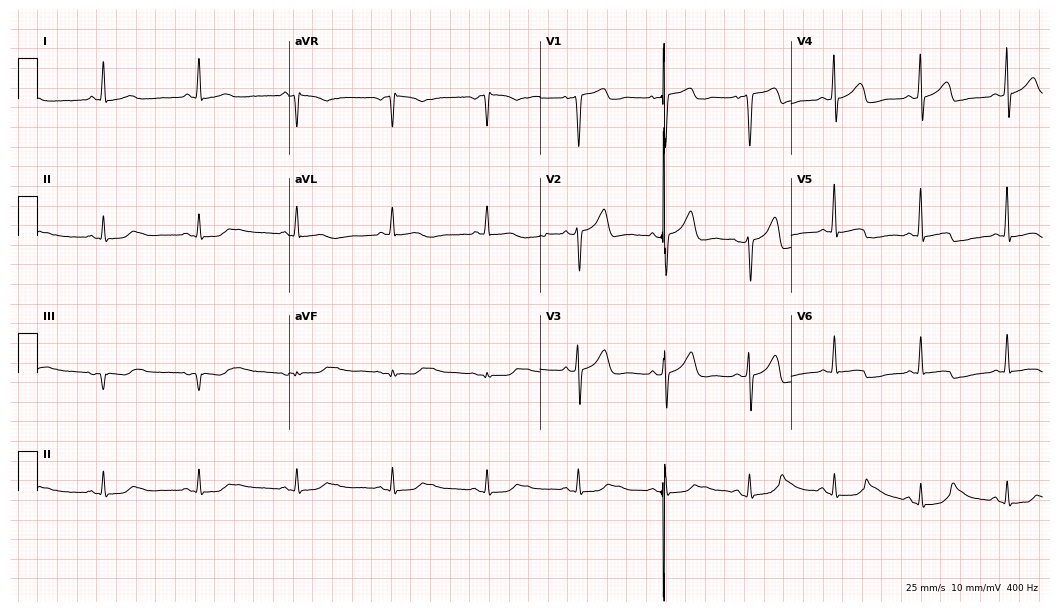
12-lead ECG (10.2-second recording at 400 Hz) from a male patient, 53 years old. Screened for six findings — first-degree AV block, right bundle branch block (RBBB), left bundle branch block (LBBB), sinus bradycardia, atrial fibrillation (AF), sinus tachycardia — none is recorded. Only these six findings were labelled.